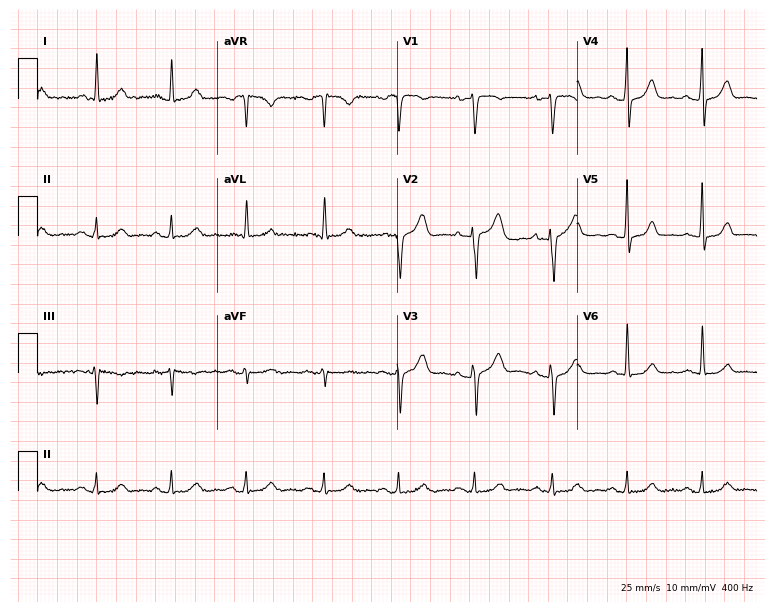
Resting 12-lead electrocardiogram. Patient: a woman, 45 years old. Read as a normal ECG.